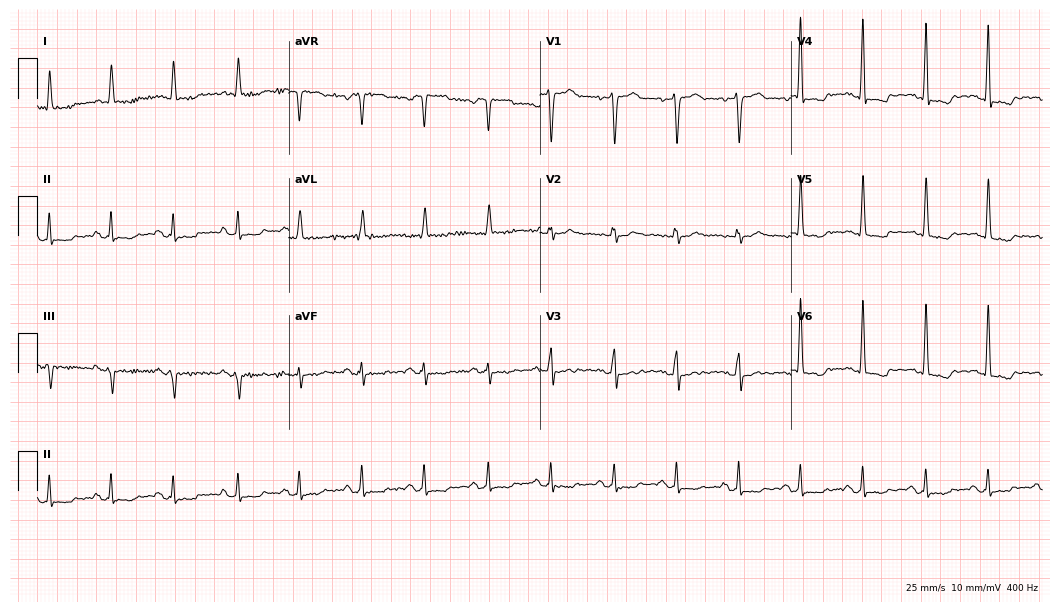
12-lead ECG (10.2-second recording at 400 Hz) from an 82-year-old female patient. Screened for six findings — first-degree AV block, right bundle branch block (RBBB), left bundle branch block (LBBB), sinus bradycardia, atrial fibrillation (AF), sinus tachycardia — none is recorded.